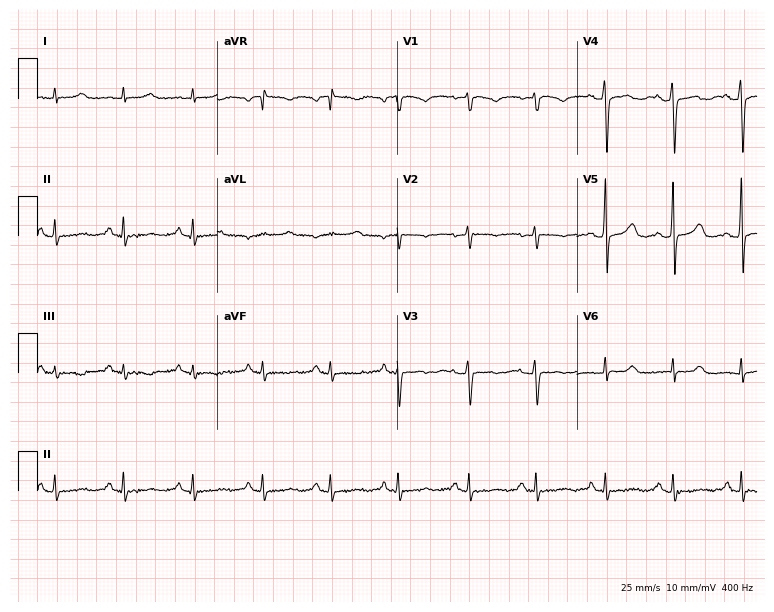
Resting 12-lead electrocardiogram. Patient: a woman, 33 years old. None of these six findings is recorded: first-degree AV block, right bundle branch block (RBBB), left bundle branch block (LBBB), sinus bradycardia, atrial fibrillation (AF), sinus tachycardia.